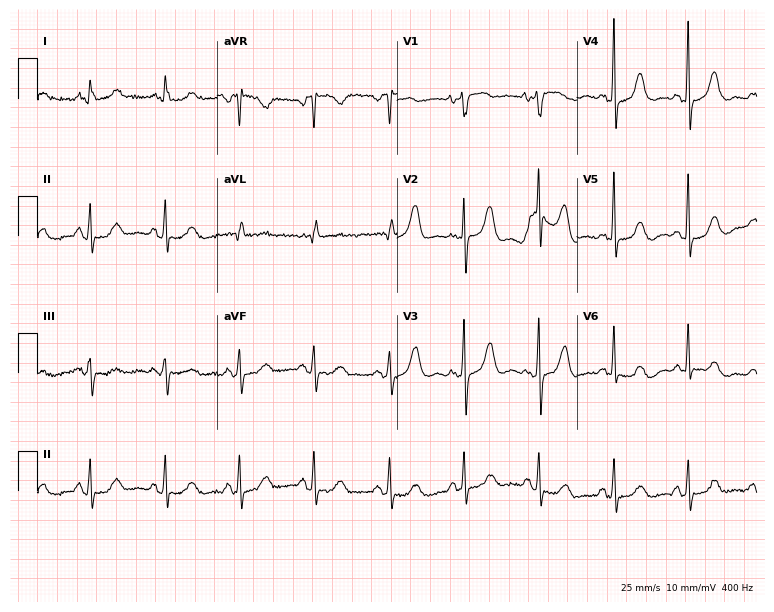
Electrocardiogram (7.3-second recording at 400 Hz), an 85-year-old female. Overall reading on record: normal ECG.